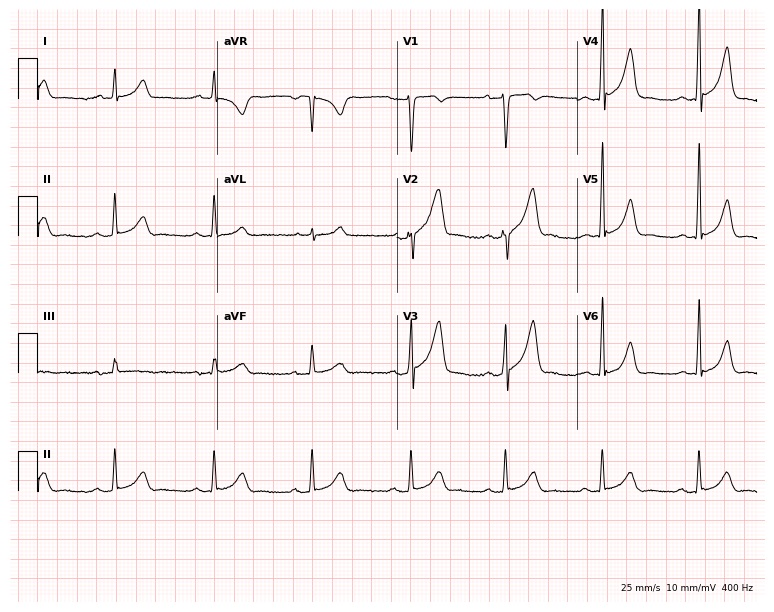
Standard 12-lead ECG recorded from a 40-year-old male (7.3-second recording at 400 Hz). None of these six findings is recorded: first-degree AV block, right bundle branch block, left bundle branch block, sinus bradycardia, atrial fibrillation, sinus tachycardia. Other findings, if any, are not listed.